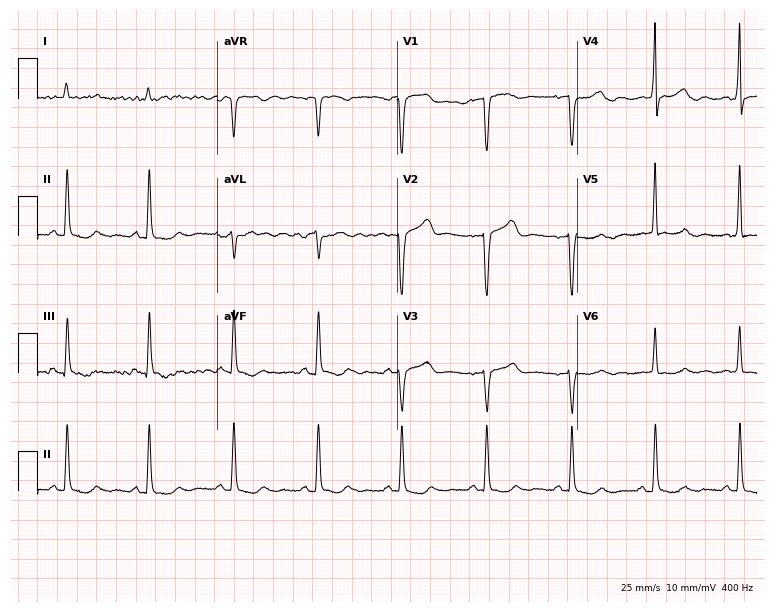
ECG (7.3-second recording at 400 Hz) — a 69-year-old female. Screened for six findings — first-degree AV block, right bundle branch block, left bundle branch block, sinus bradycardia, atrial fibrillation, sinus tachycardia — none is recorded.